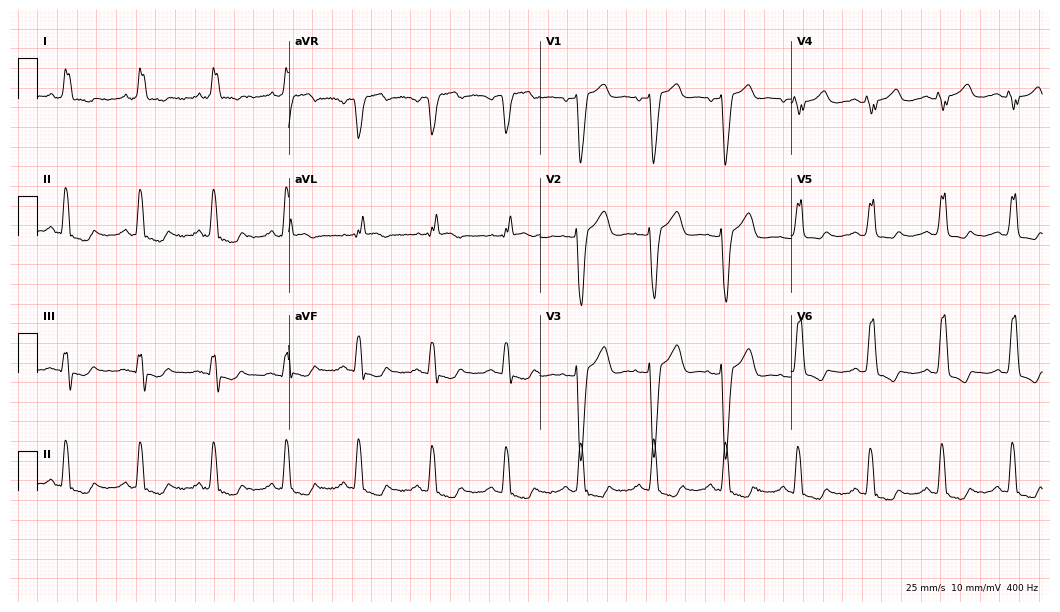
12-lead ECG (10.2-second recording at 400 Hz) from a female patient, 68 years old. Findings include left bundle branch block.